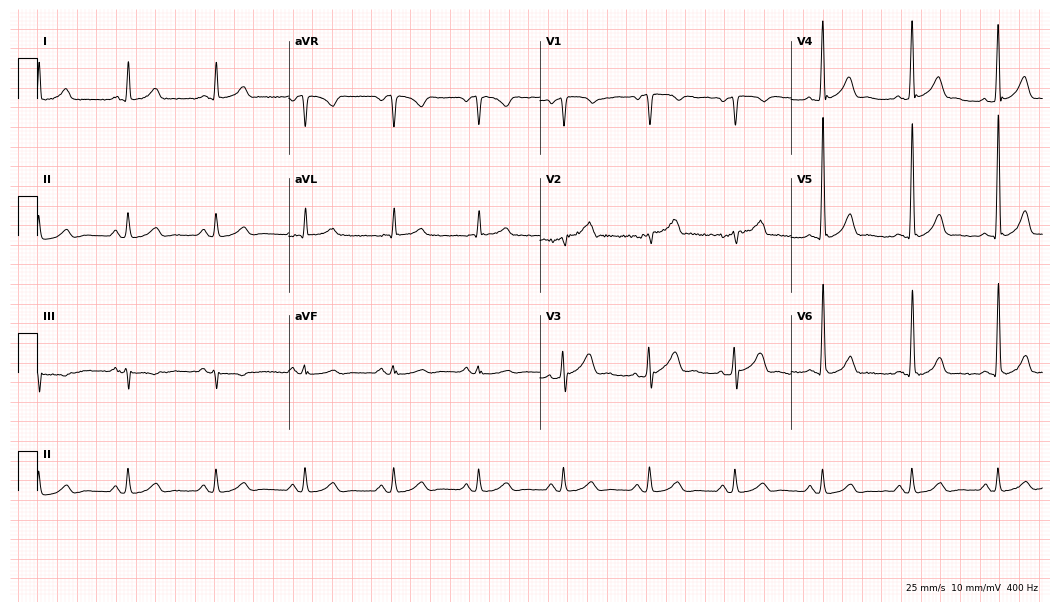
Electrocardiogram, a man, 51 years old. Overall reading on record: normal ECG.